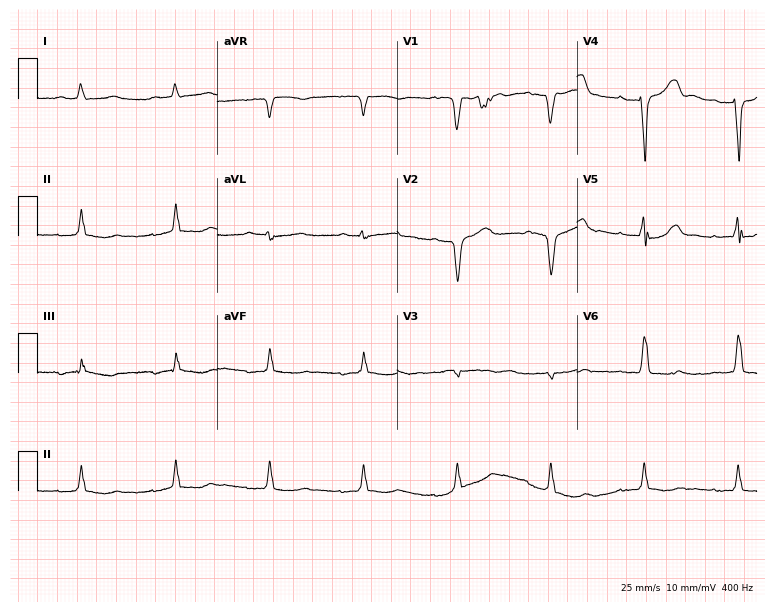
12-lead ECG from a man, 72 years old (7.3-second recording at 400 Hz). No first-degree AV block, right bundle branch block, left bundle branch block, sinus bradycardia, atrial fibrillation or sinus tachycardia recorded for this tracing.